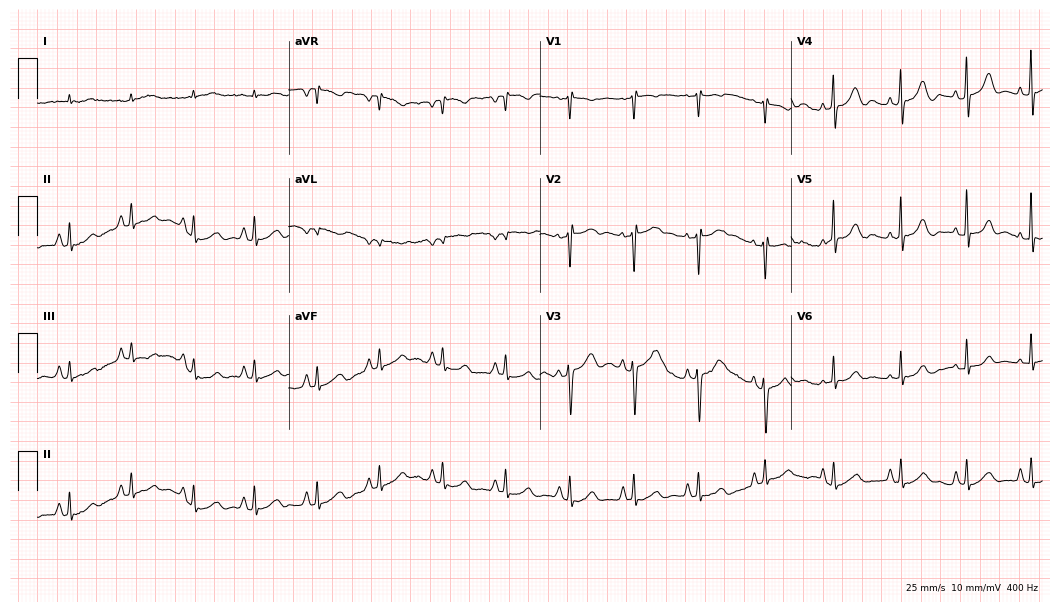
Standard 12-lead ECG recorded from a 67-year-old male. None of these six findings is recorded: first-degree AV block, right bundle branch block (RBBB), left bundle branch block (LBBB), sinus bradycardia, atrial fibrillation (AF), sinus tachycardia.